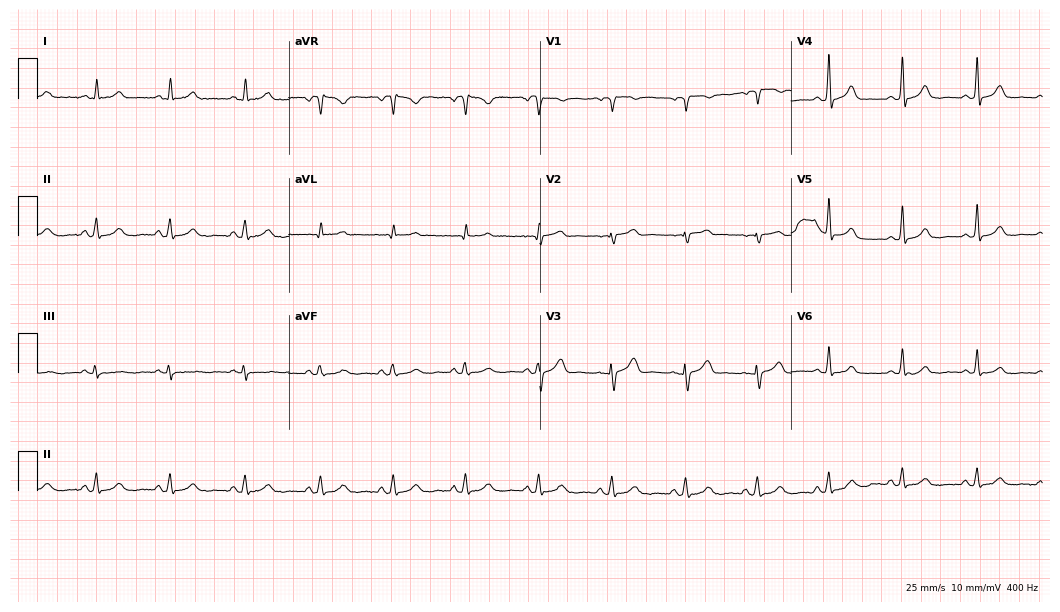
Standard 12-lead ECG recorded from a female, 42 years old. None of these six findings is recorded: first-degree AV block, right bundle branch block, left bundle branch block, sinus bradycardia, atrial fibrillation, sinus tachycardia. Other findings, if any, are not listed.